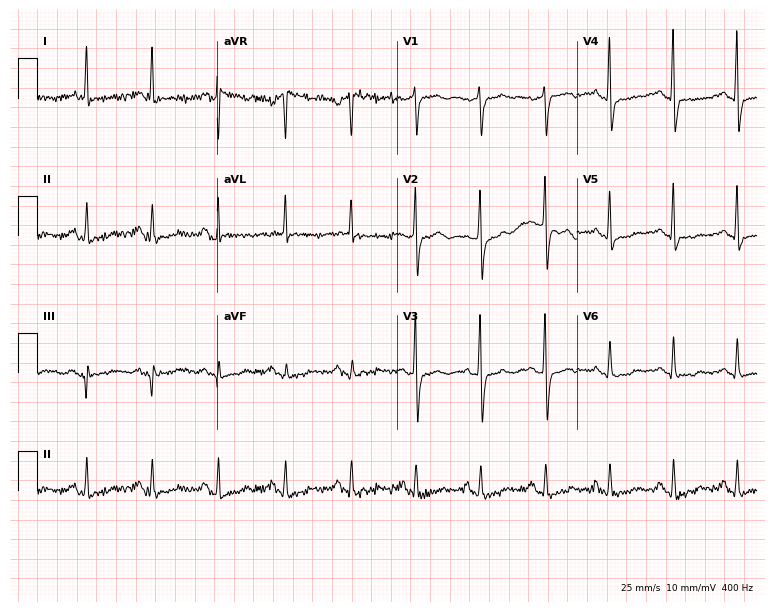
Electrocardiogram (7.3-second recording at 400 Hz), a female patient, 65 years old. Of the six screened findings (first-degree AV block, right bundle branch block (RBBB), left bundle branch block (LBBB), sinus bradycardia, atrial fibrillation (AF), sinus tachycardia), none is recorded.